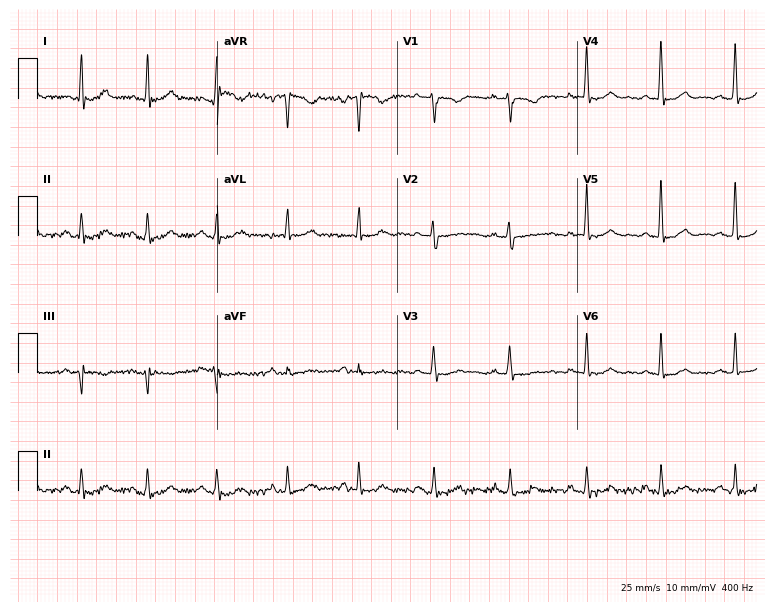
ECG — a female, 37 years old. Labelled as a normal ECG.